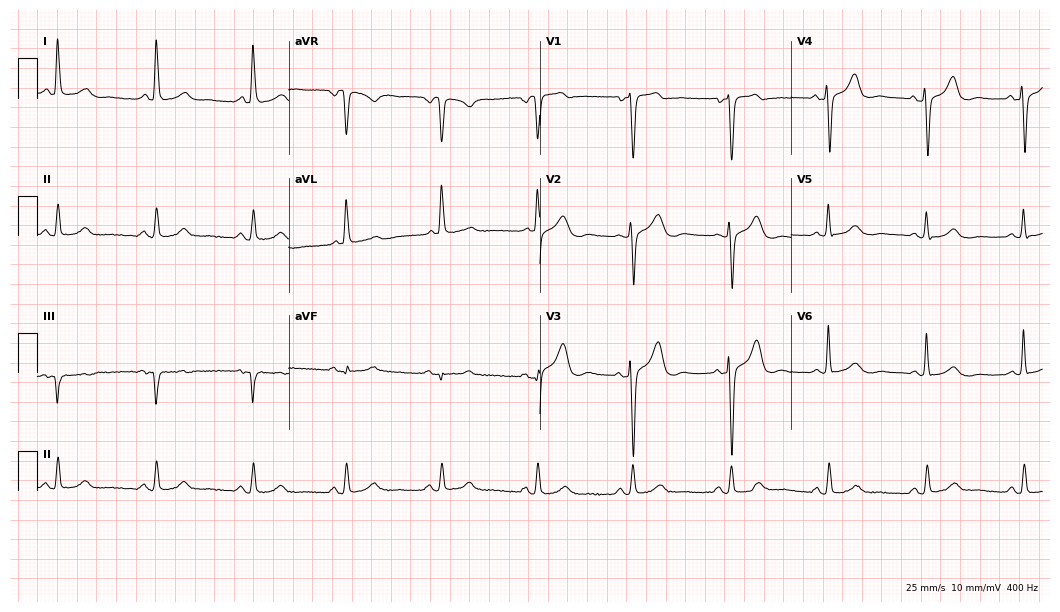
12-lead ECG from a 53-year-old female. Screened for six findings — first-degree AV block, right bundle branch block, left bundle branch block, sinus bradycardia, atrial fibrillation, sinus tachycardia — none is recorded. Only these six findings were labelled.